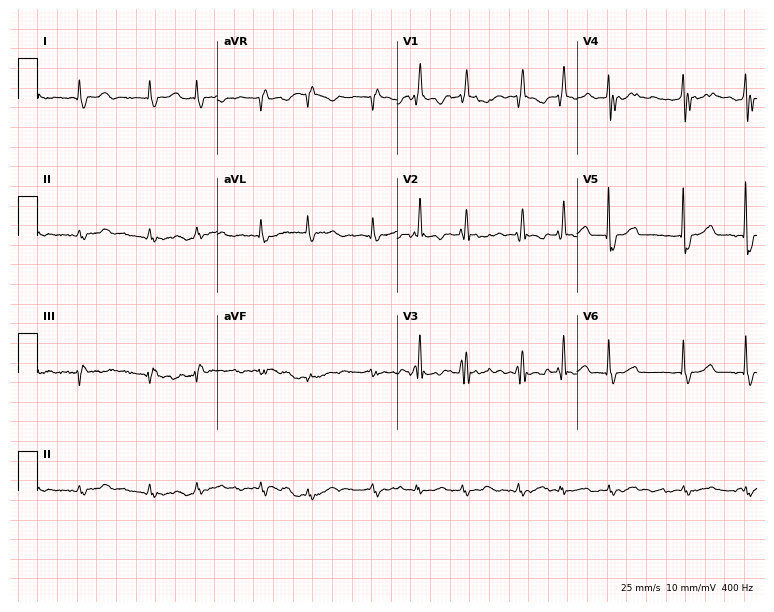
Resting 12-lead electrocardiogram (7.3-second recording at 400 Hz). Patient: a 79-year-old female. The tracing shows right bundle branch block, atrial fibrillation.